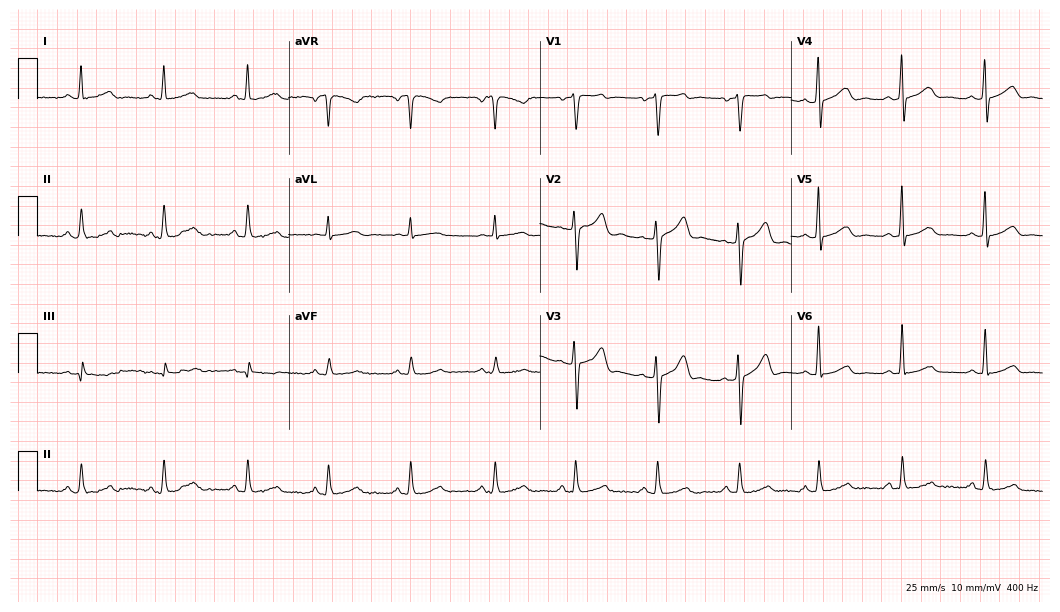
12-lead ECG from a 40-year-old woman. No first-degree AV block, right bundle branch block, left bundle branch block, sinus bradycardia, atrial fibrillation or sinus tachycardia recorded for this tracing.